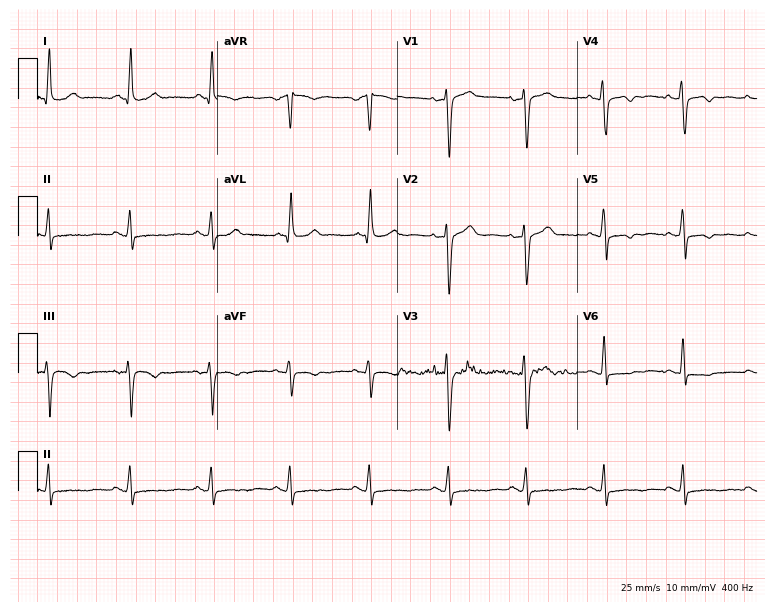
Resting 12-lead electrocardiogram (7.3-second recording at 400 Hz). Patient: a female, 45 years old. None of these six findings is recorded: first-degree AV block, right bundle branch block (RBBB), left bundle branch block (LBBB), sinus bradycardia, atrial fibrillation (AF), sinus tachycardia.